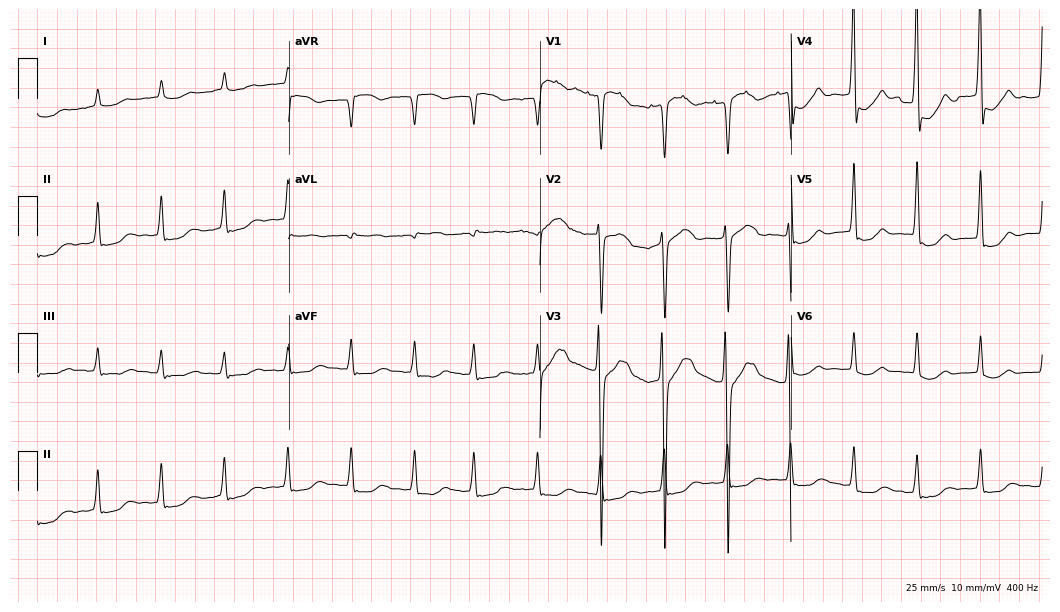
Electrocardiogram, an 83-year-old male. Of the six screened findings (first-degree AV block, right bundle branch block, left bundle branch block, sinus bradycardia, atrial fibrillation, sinus tachycardia), none is recorded. Other findings, if any, are not listed.